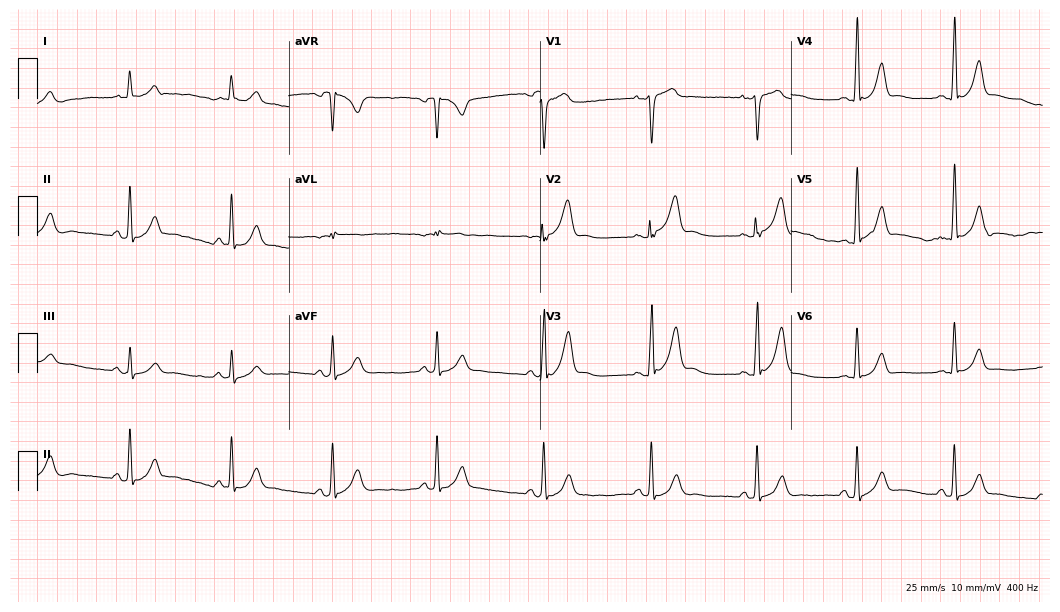
Electrocardiogram (10.2-second recording at 400 Hz), a 38-year-old male patient. Of the six screened findings (first-degree AV block, right bundle branch block, left bundle branch block, sinus bradycardia, atrial fibrillation, sinus tachycardia), none is recorded.